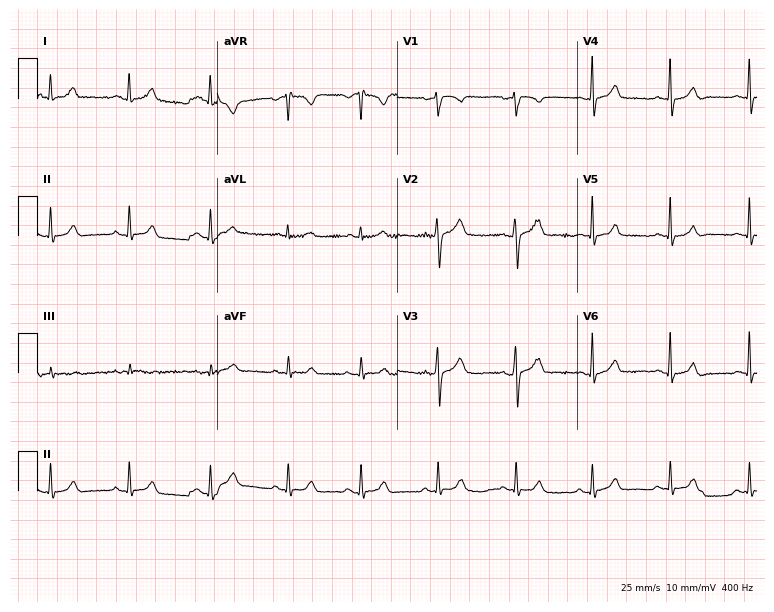
Resting 12-lead electrocardiogram (7.3-second recording at 400 Hz). Patient: a female, 23 years old. None of these six findings is recorded: first-degree AV block, right bundle branch block, left bundle branch block, sinus bradycardia, atrial fibrillation, sinus tachycardia.